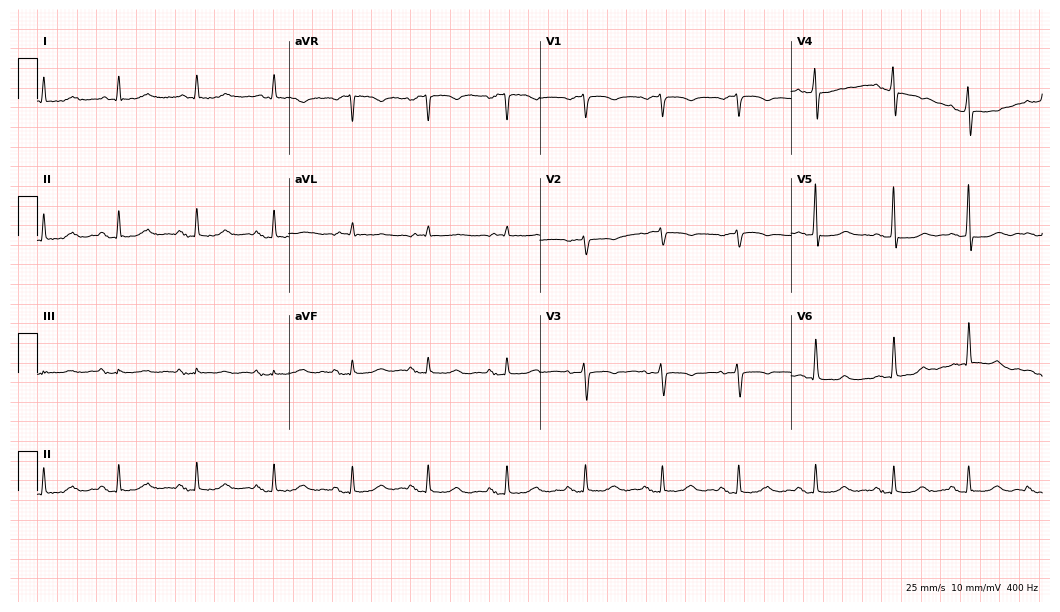
12-lead ECG (10.2-second recording at 400 Hz) from a female, 72 years old. Screened for six findings — first-degree AV block, right bundle branch block, left bundle branch block, sinus bradycardia, atrial fibrillation, sinus tachycardia — none is recorded. Findings outside these six are not listed.